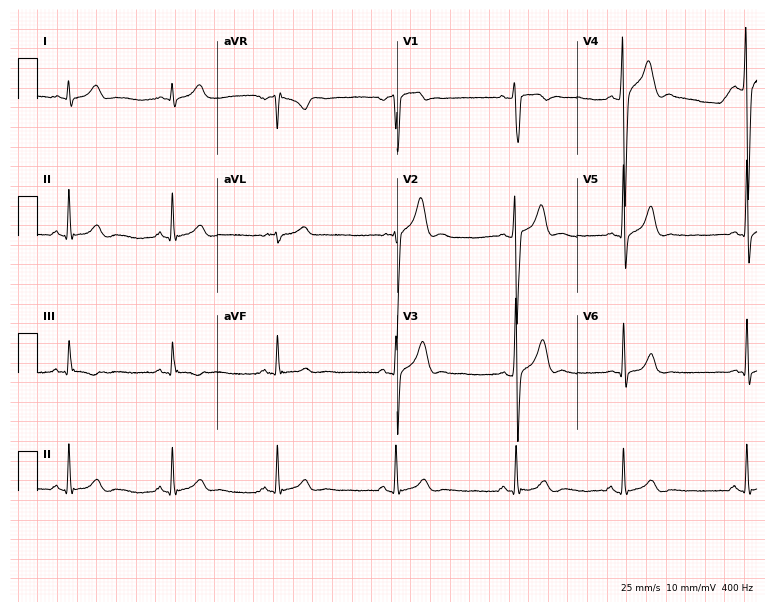
Resting 12-lead electrocardiogram. Patient: a male, 22 years old. Read as a normal ECG.